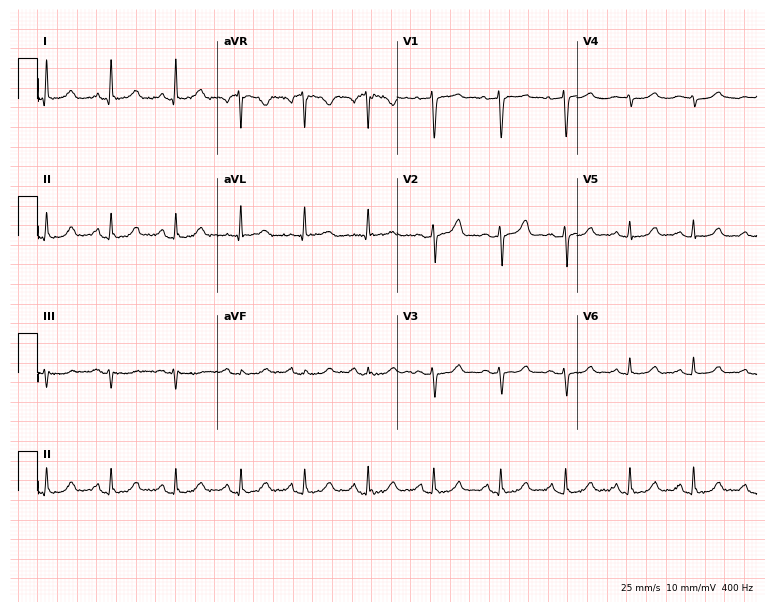
Electrocardiogram (7.3-second recording at 400 Hz), a female, 53 years old. Overall reading on record: normal ECG.